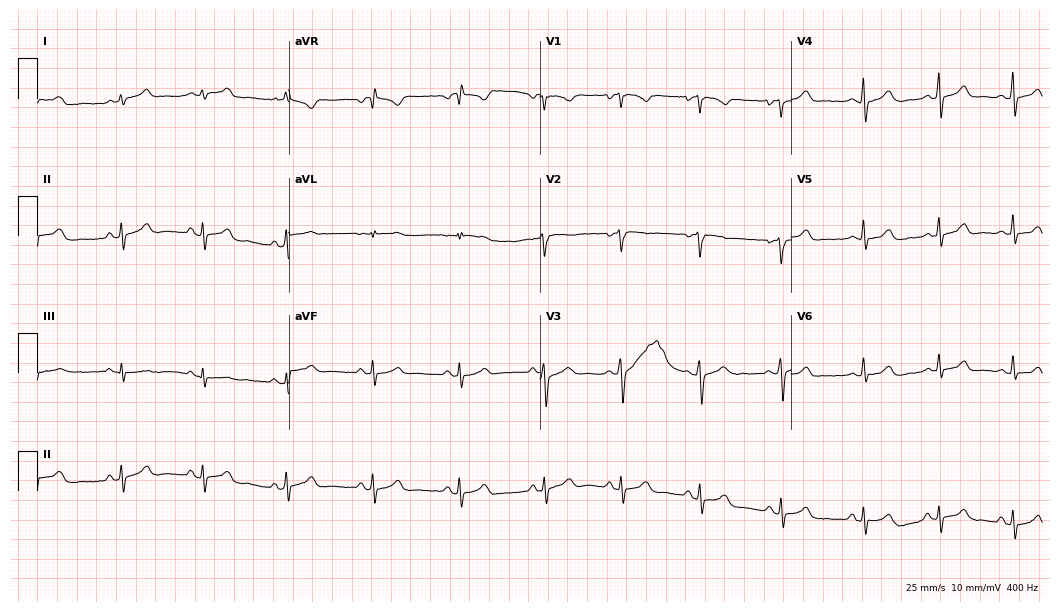
12-lead ECG from a 31-year-old female patient (10.2-second recording at 400 Hz). No first-degree AV block, right bundle branch block, left bundle branch block, sinus bradycardia, atrial fibrillation or sinus tachycardia recorded for this tracing. Findings outside these six are not listed.